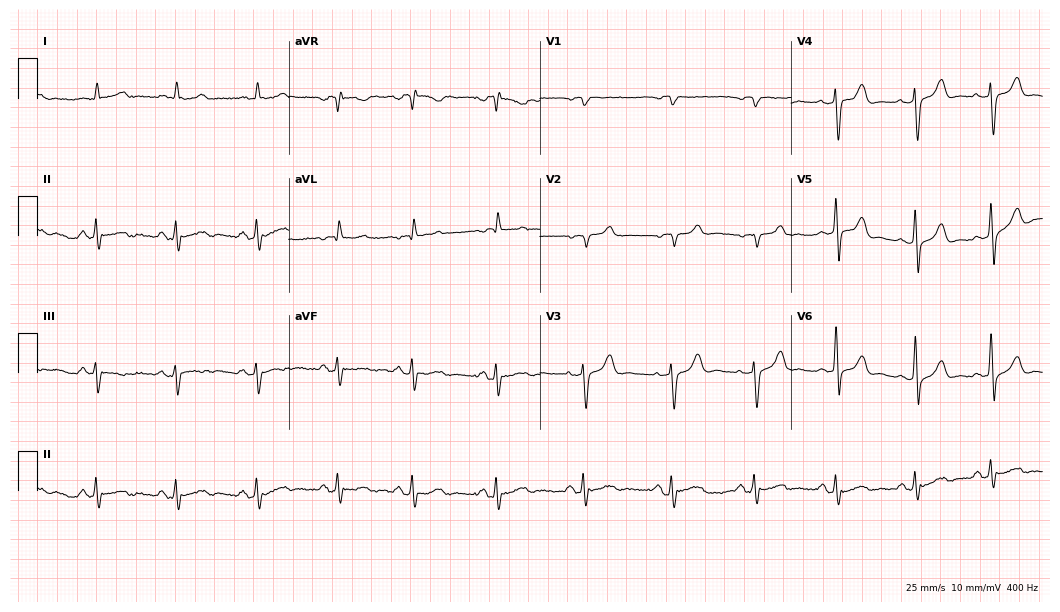
Electrocardiogram, an 83-year-old male. Of the six screened findings (first-degree AV block, right bundle branch block, left bundle branch block, sinus bradycardia, atrial fibrillation, sinus tachycardia), none is recorded.